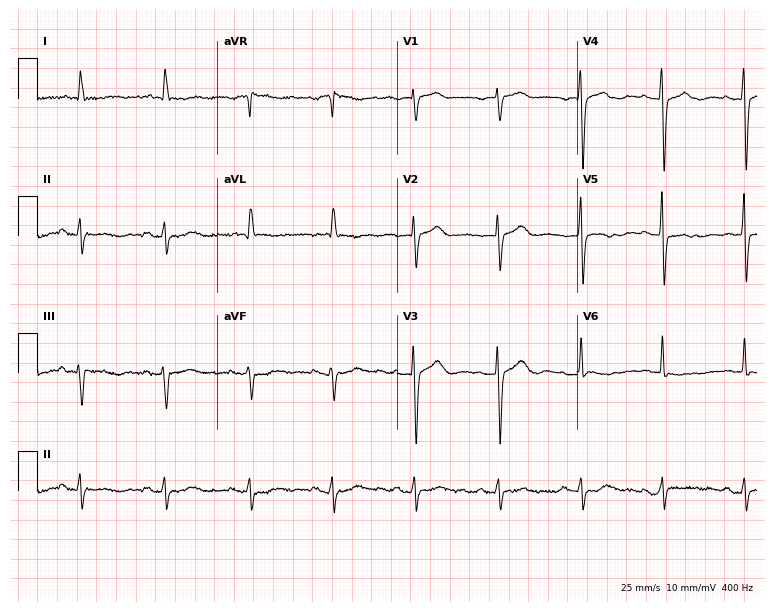
12-lead ECG from a 78-year-old female patient. Screened for six findings — first-degree AV block, right bundle branch block, left bundle branch block, sinus bradycardia, atrial fibrillation, sinus tachycardia — none is recorded. Findings outside these six are not listed.